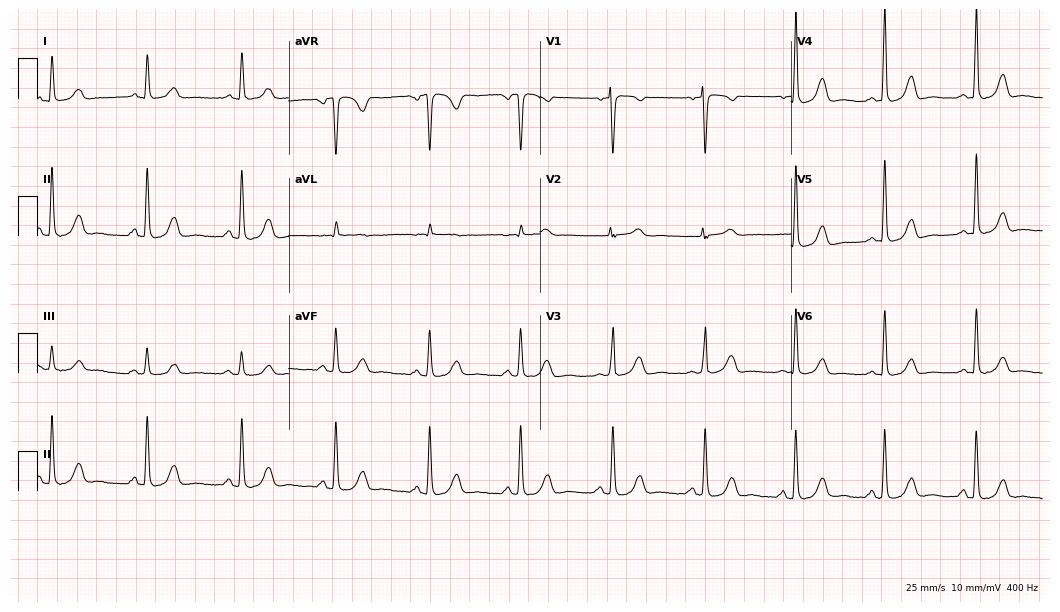
12-lead ECG (10.2-second recording at 400 Hz) from a 76-year-old female. Labelled as a normal ECG.